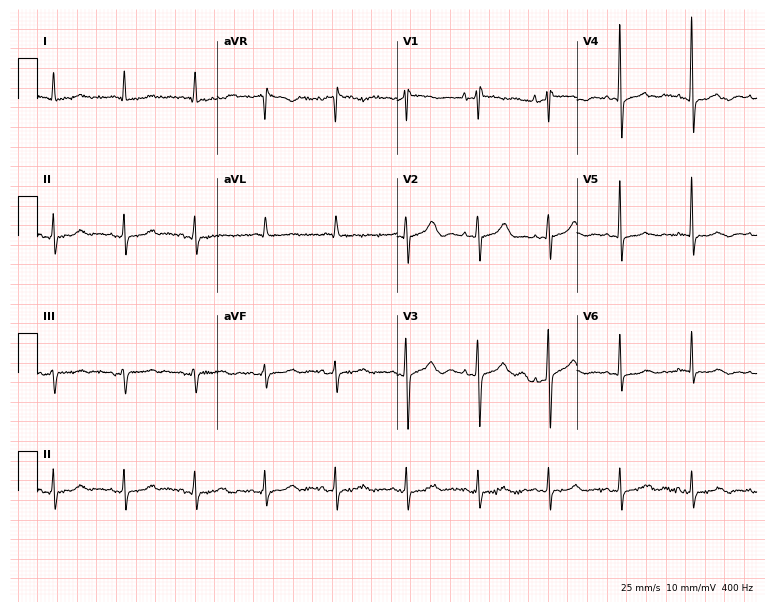
12-lead ECG from a female, 85 years old. Screened for six findings — first-degree AV block, right bundle branch block (RBBB), left bundle branch block (LBBB), sinus bradycardia, atrial fibrillation (AF), sinus tachycardia — none is recorded.